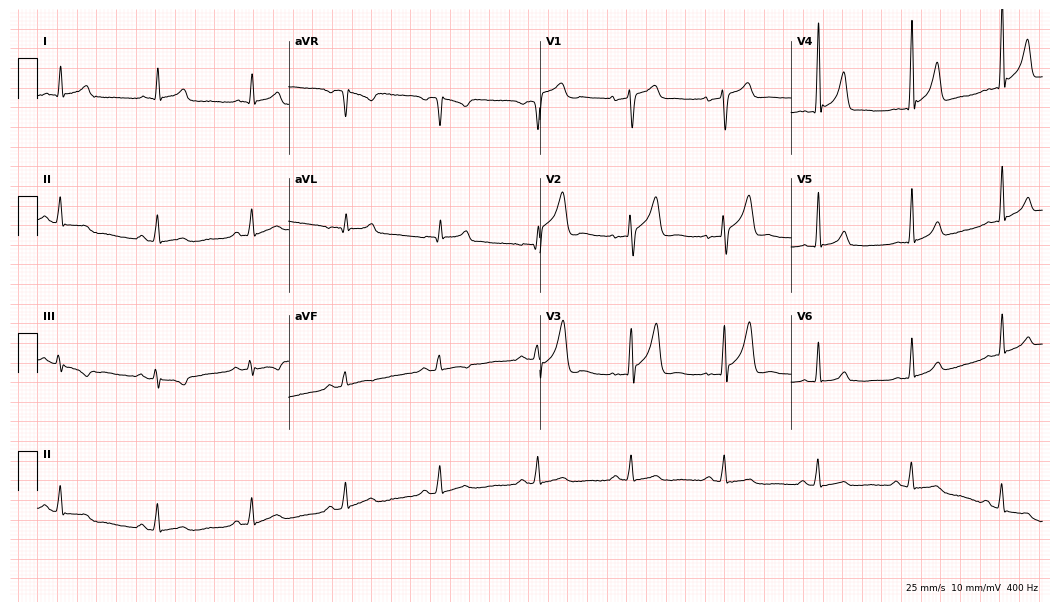
12-lead ECG from a male patient, 33 years old. No first-degree AV block, right bundle branch block, left bundle branch block, sinus bradycardia, atrial fibrillation or sinus tachycardia recorded for this tracing.